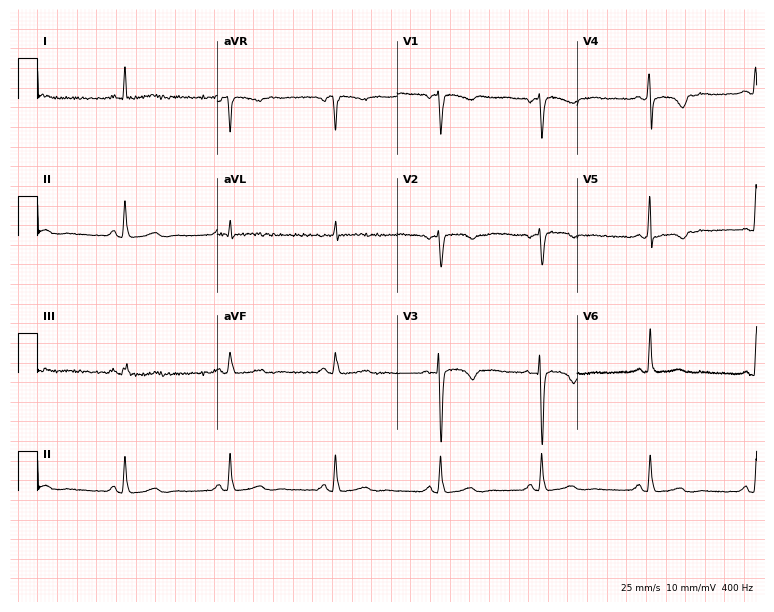
12-lead ECG (7.3-second recording at 400 Hz) from a 50-year-old woman. Screened for six findings — first-degree AV block, right bundle branch block, left bundle branch block, sinus bradycardia, atrial fibrillation, sinus tachycardia — none is recorded. Other findings, if any, are not listed.